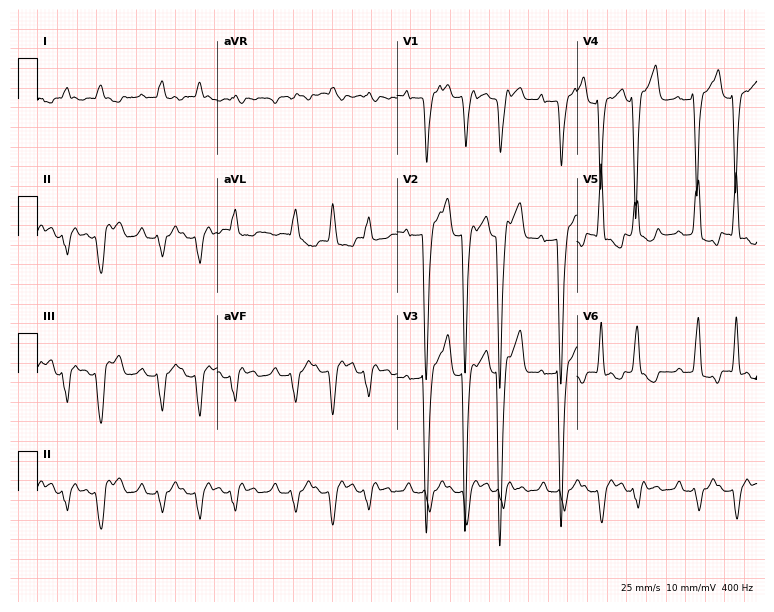
12-lead ECG from a 64-year-old man. Screened for six findings — first-degree AV block, right bundle branch block, left bundle branch block, sinus bradycardia, atrial fibrillation, sinus tachycardia — none is recorded.